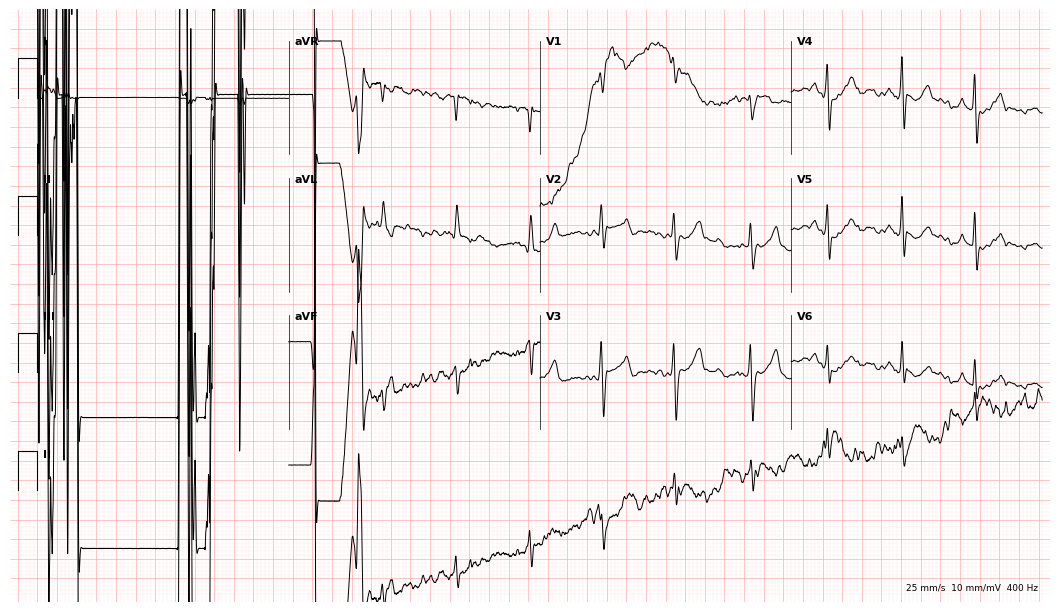
ECG (10.2-second recording at 400 Hz) — a woman, 81 years old. Screened for six findings — first-degree AV block, right bundle branch block, left bundle branch block, sinus bradycardia, atrial fibrillation, sinus tachycardia — none is recorded. Findings outside these six are not listed.